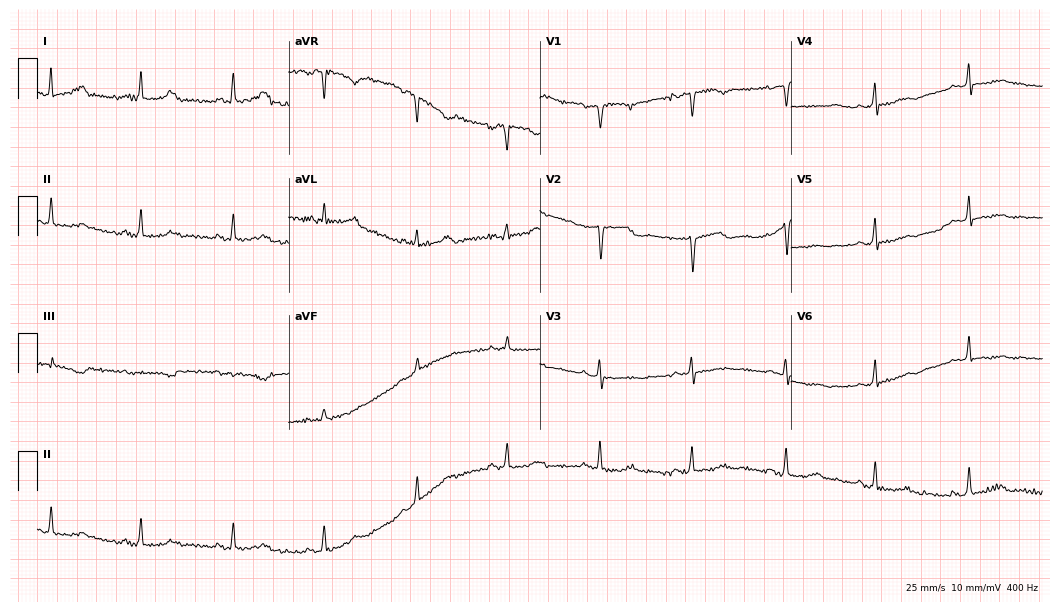
Standard 12-lead ECG recorded from a female, 51 years old (10.2-second recording at 400 Hz). None of these six findings is recorded: first-degree AV block, right bundle branch block (RBBB), left bundle branch block (LBBB), sinus bradycardia, atrial fibrillation (AF), sinus tachycardia.